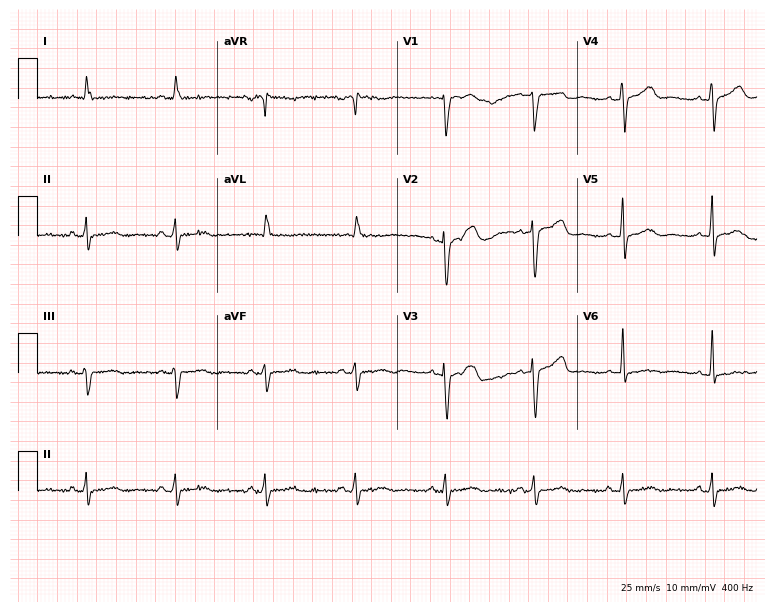
Standard 12-lead ECG recorded from a 75-year-old man (7.3-second recording at 400 Hz). None of these six findings is recorded: first-degree AV block, right bundle branch block, left bundle branch block, sinus bradycardia, atrial fibrillation, sinus tachycardia. Findings outside these six are not listed.